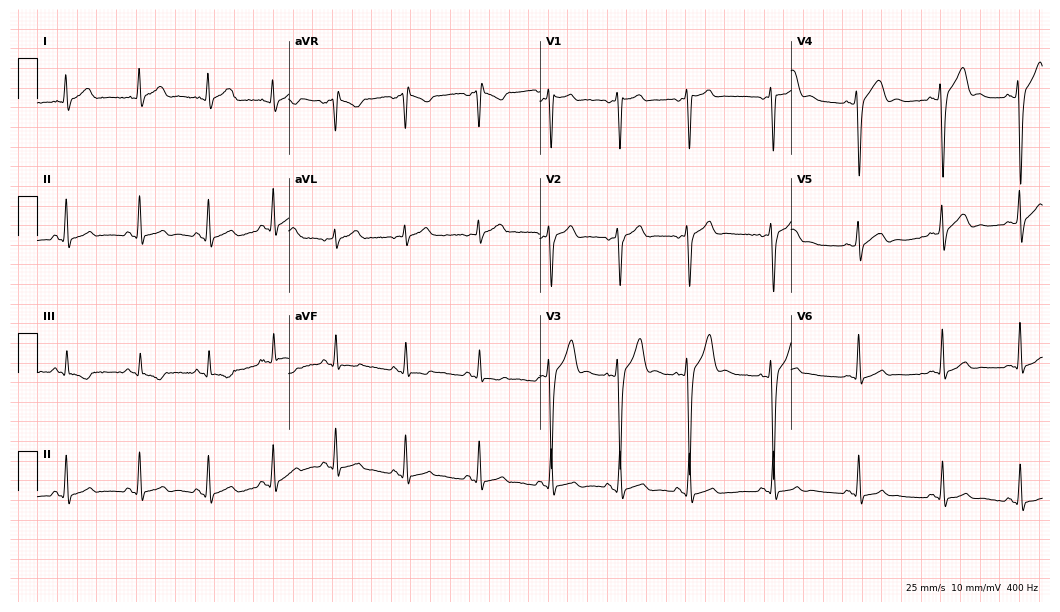
ECG (10.2-second recording at 400 Hz) — a 21-year-old male patient. Screened for six findings — first-degree AV block, right bundle branch block, left bundle branch block, sinus bradycardia, atrial fibrillation, sinus tachycardia — none is recorded.